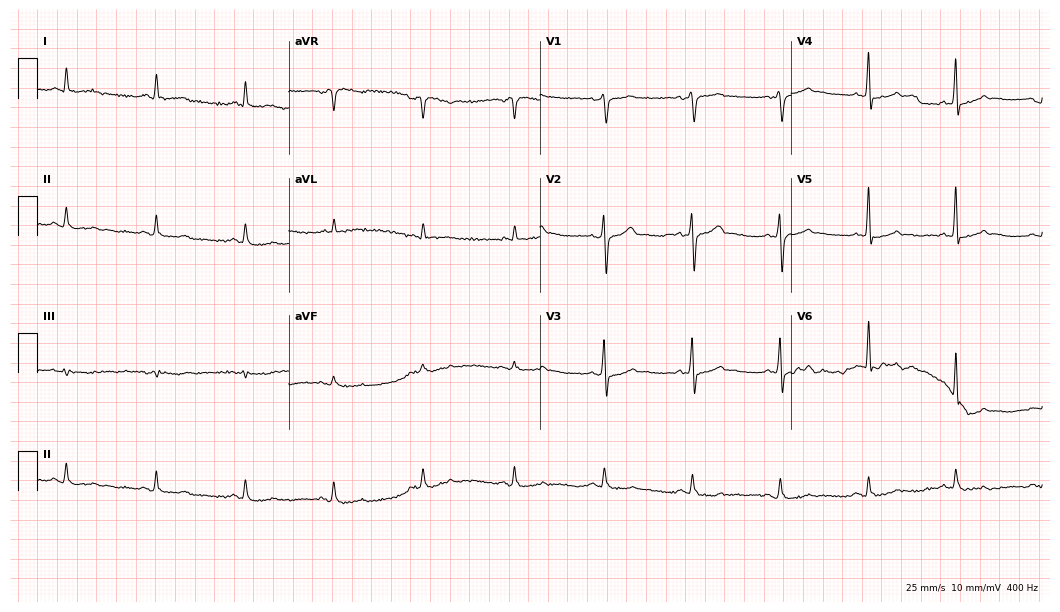
Standard 12-lead ECG recorded from a male patient, 74 years old. Read as a normal ECG.